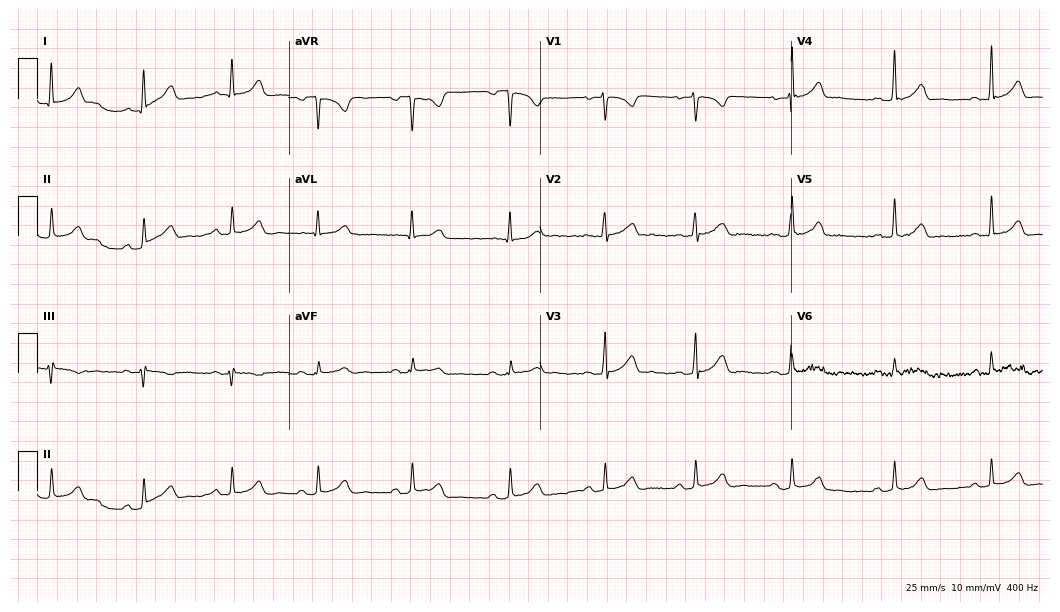
Resting 12-lead electrocardiogram. Patient: a female, 22 years old. Read as a normal ECG.